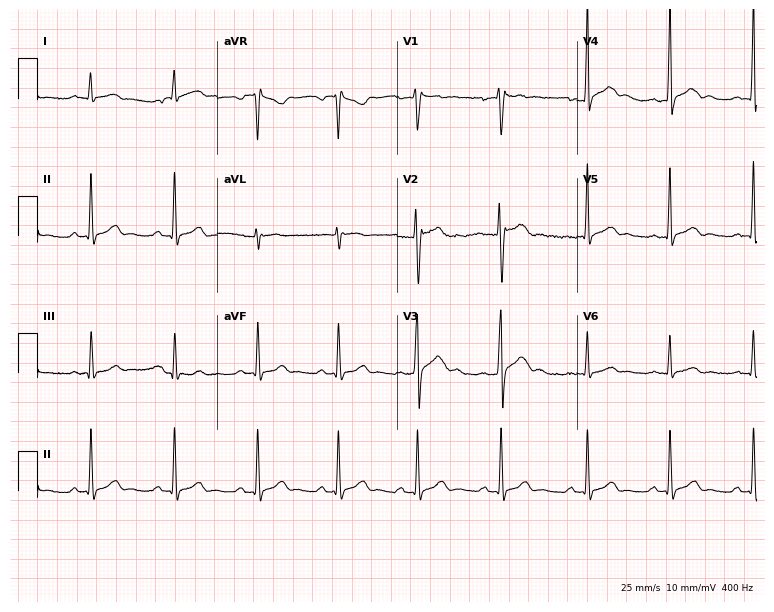
Electrocardiogram (7.3-second recording at 400 Hz), a male, 34 years old. Overall reading on record: normal ECG.